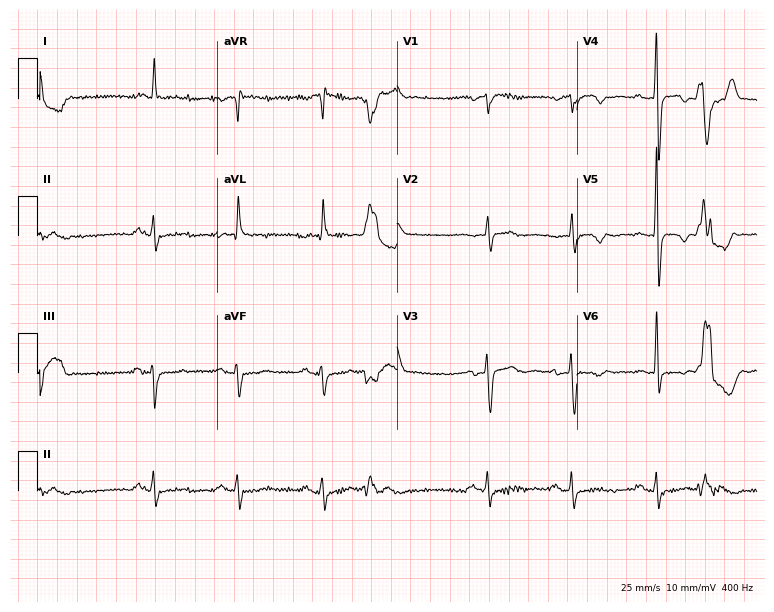
ECG (7.3-second recording at 400 Hz) — a 76-year-old male patient. Screened for six findings — first-degree AV block, right bundle branch block, left bundle branch block, sinus bradycardia, atrial fibrillation, sinus tachycardia — none is recorded. Findings outside these six are not listed.